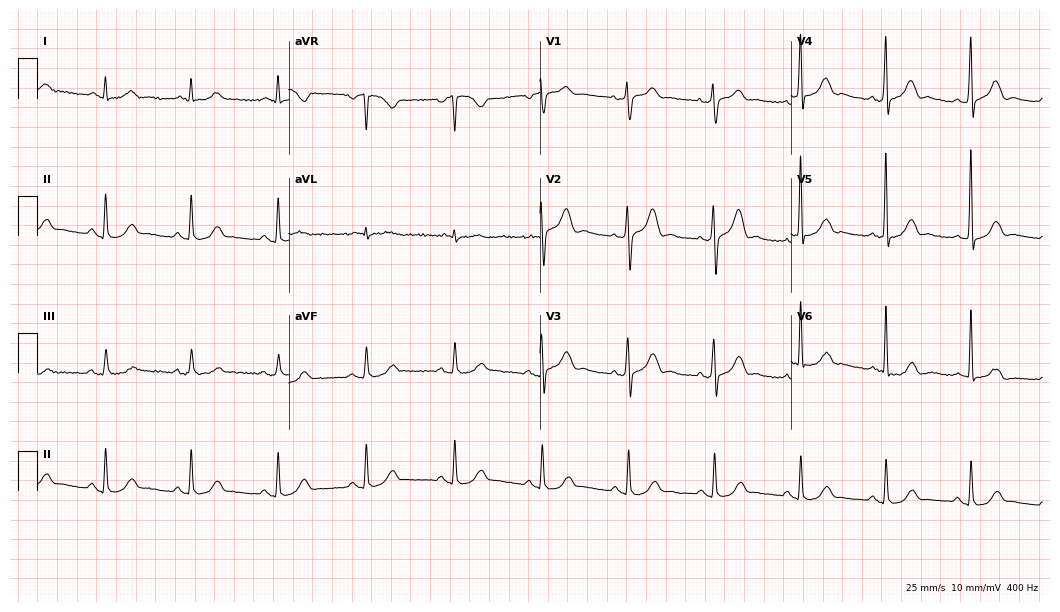
12-lead ECG from a 69-year-old male (10.2-second recording at 400 Hz). Recorded interpretation: within normal limits.